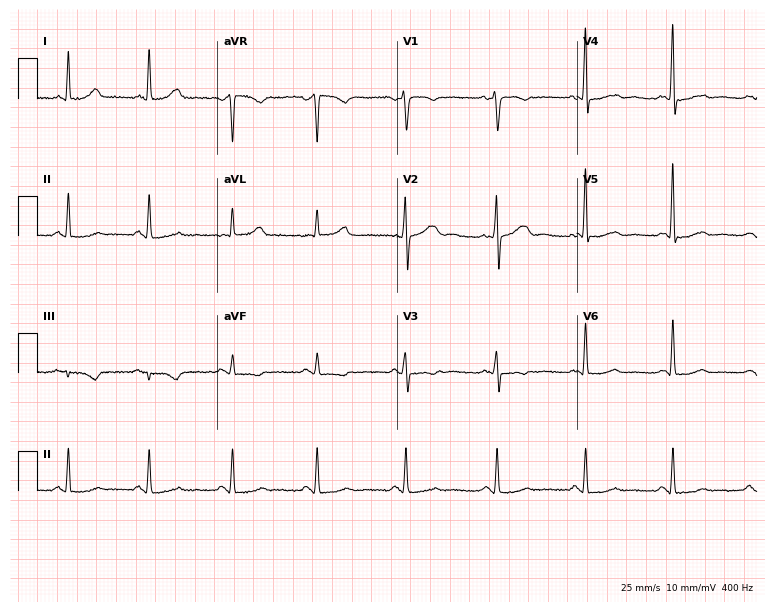
Electrocardiogram (7.3-second recording at 400 Hz), a 51-year-old female. Overall reading on record: normal ECG.